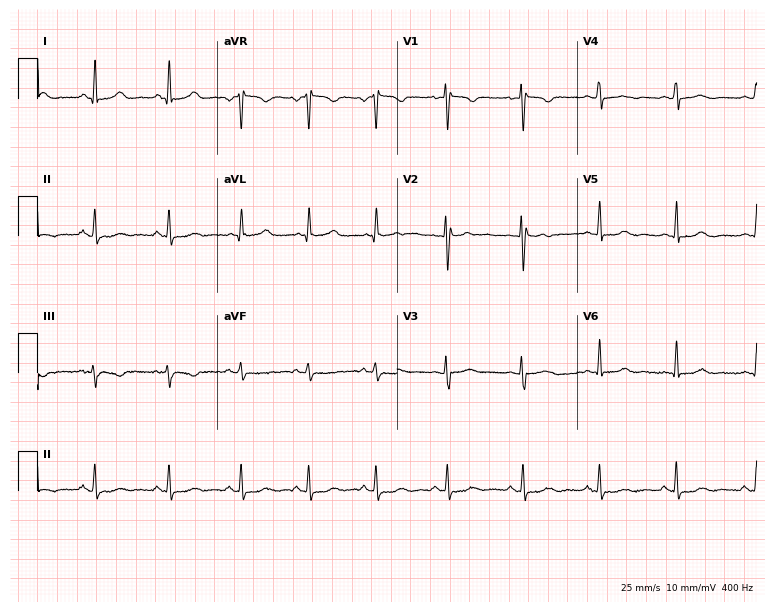
Standard 12-lead ECG recorded from a woman, 47 years old (7.3-second recording at 400 Hz). None of these six findings is recorded: first-degree AV block, right bundle branch block (RBBB), left bundle branch block (LBBB), sinus bradycardia, atrial fibrillation (AF), sinus tachycardia. Only these six findings were labelled.